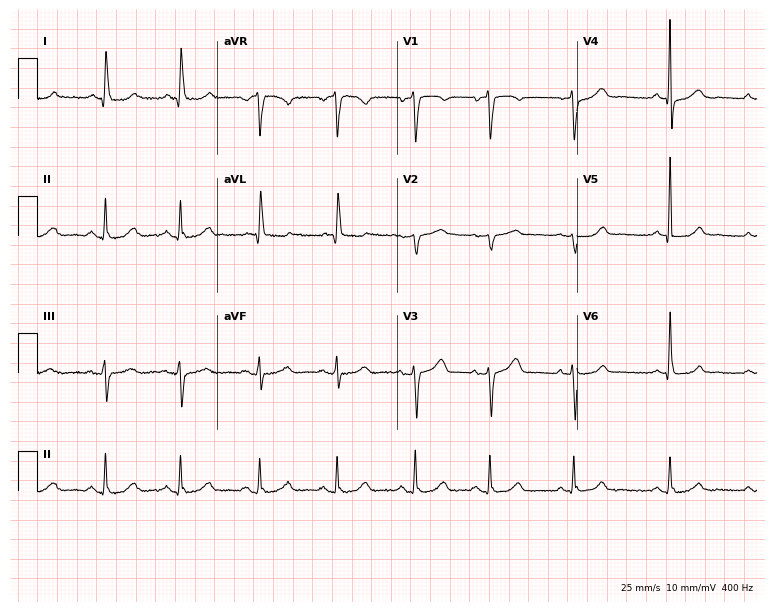
ECG (7.3-second recording at 400 Hz) — a 79-year-old woman. Labelled as a normal ECG.